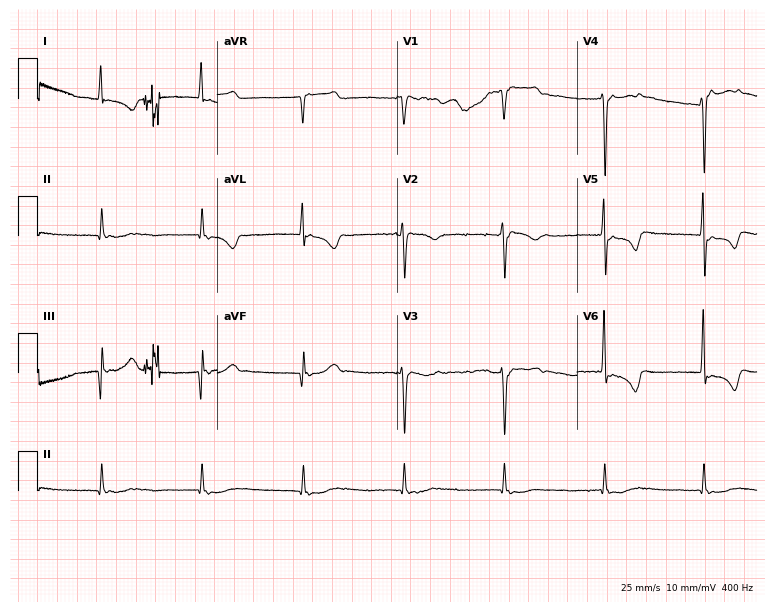
12-lead ECG from a female, 82 years old. No first-degree AV block, right bundle branch block, left bundle branch block, sinus bradycardia, atrial fibrillation or sinus tachycardia recorded for this tracing.